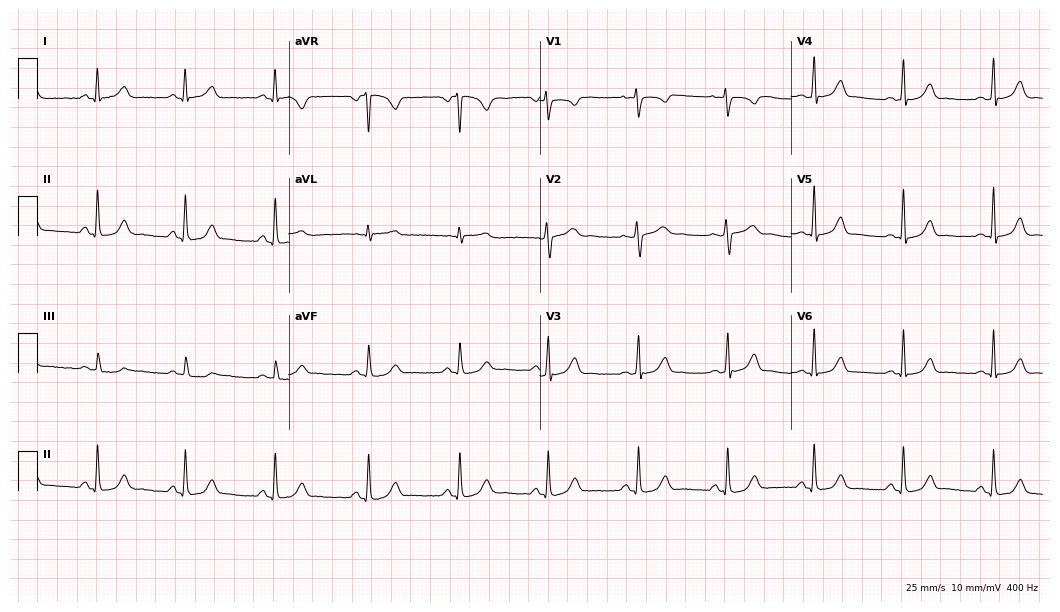
12-lead ECG from a female patient, 24 years old. Recorded interpretation: within normal limits.